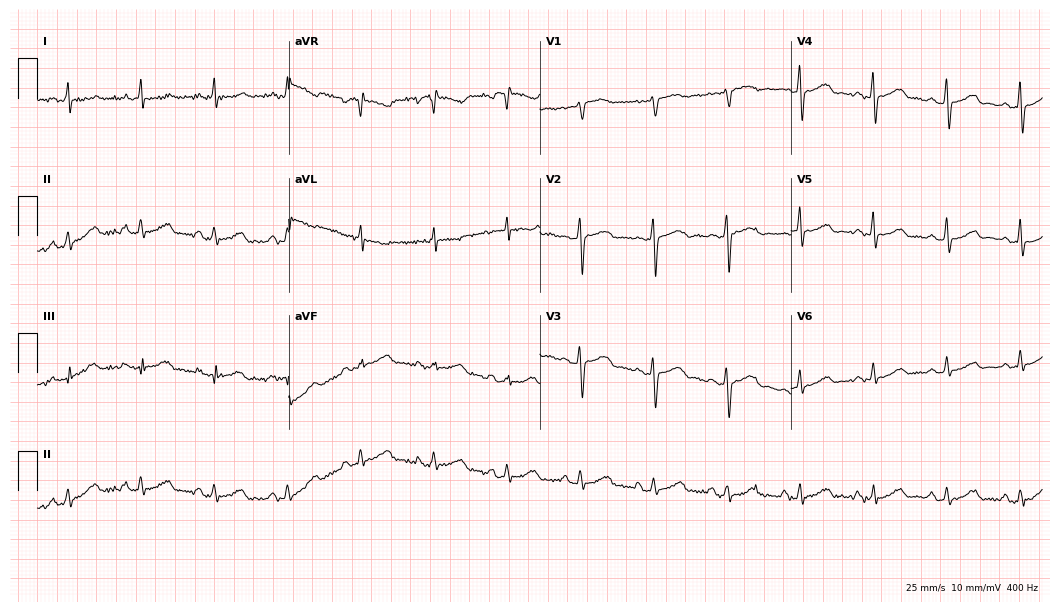
Electrocardiogram, a female, 66 years old. Of the six screened findings (first-degree AV block, right bundle branch block (RBBB), left bundle branch block (LBBB), sinus bradycardia, atrial fibrillation (AF), sinus tachycardia), none is recorded. Findings outside these six are not listed.